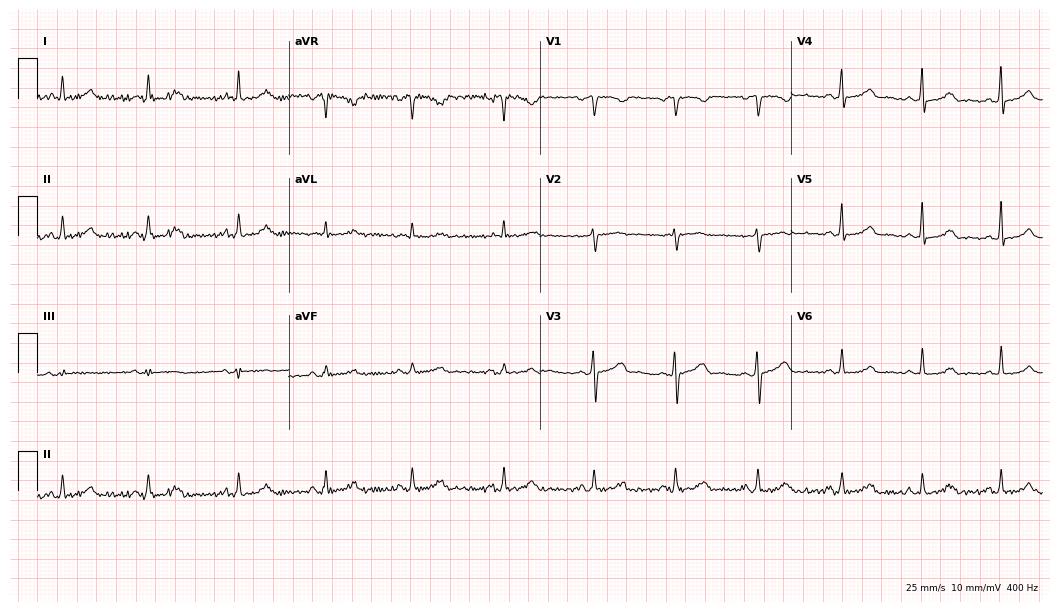
Standard 12-lead ECG recorded from a 34-year-old female patient (10.2-second recording at 400 Hz). Read as a normal ECG.